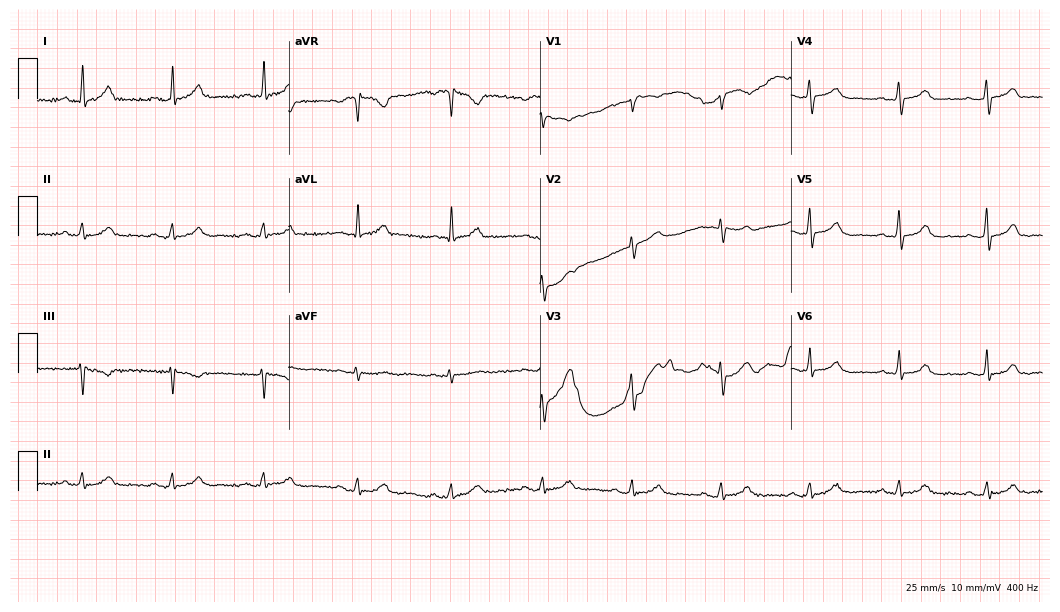
12-lead ECG from a 58-year-old female. Labelled as a normal ECG.